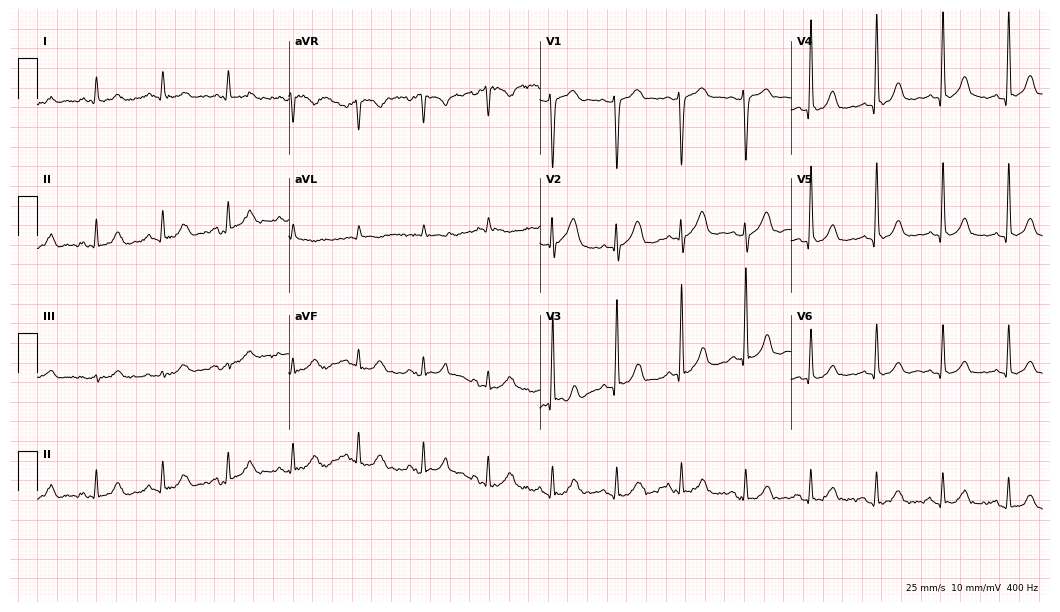
Standard 12-lead ECG recorded from an 84-year-old woman. Read as a normal ECG.